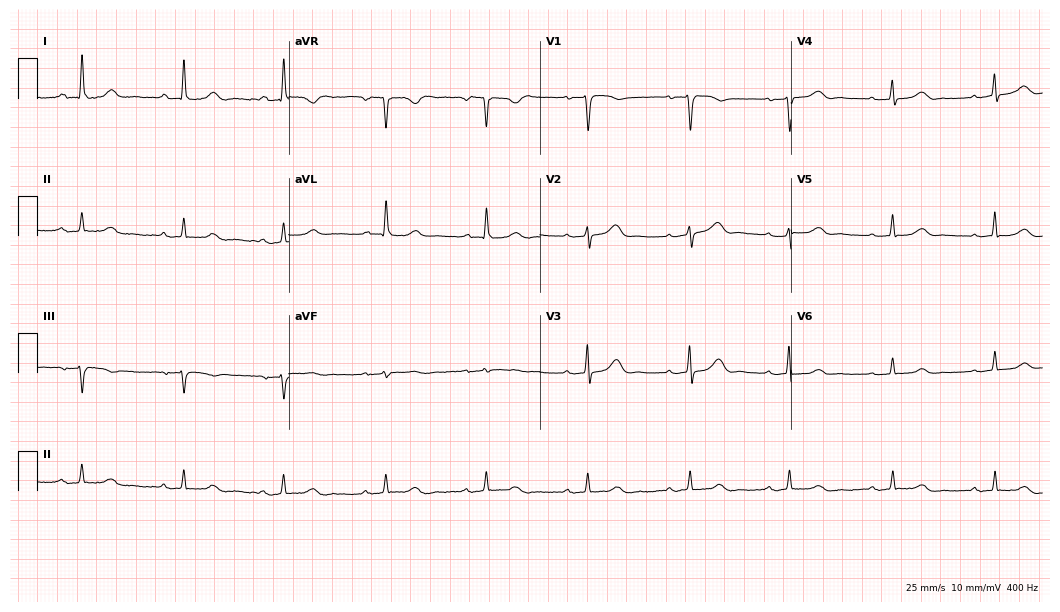
ECG — a 72-year-old woman. Findings include first-degree AV block.